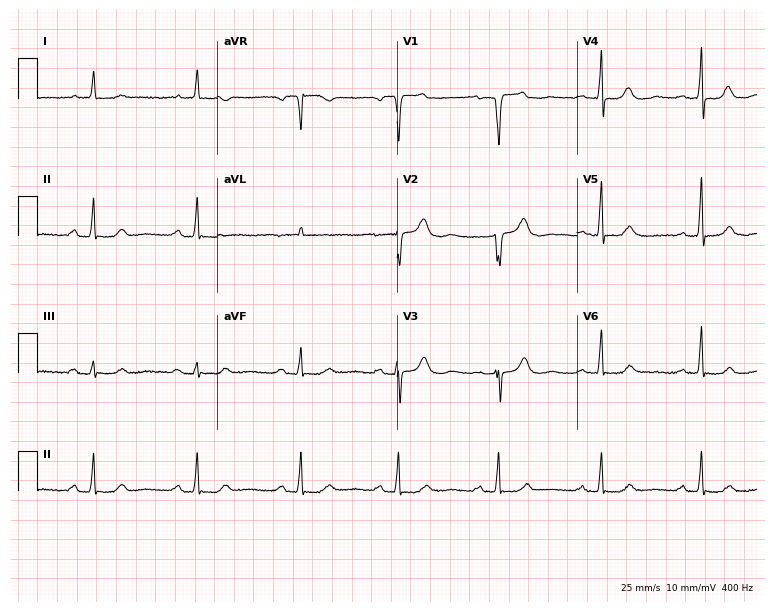
12-lead ECG from a woman, 65 years old. No first-degree AV block, right bundle branch block (RBBB), left bundle branch block (LBBB), sinus bradycardia, atrial fibrillation (AF) or sinus tachycardia recorded for this tracing.